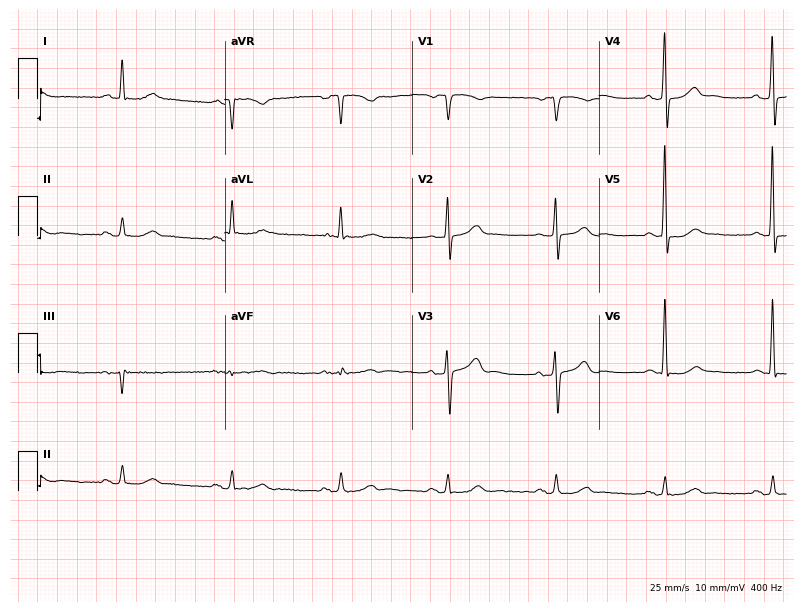
12-lead ECG from a male patient, 73 years old (7.6-second recording at 400 Hz). No first-degree AV block, right bundle branch block (RBBB), left bundle branch block (LBBB), sinus bradycardia, atrial fibrillation (AF) or sinus tachycardia recorded for this tracing. Other findings, if any, are not listed.